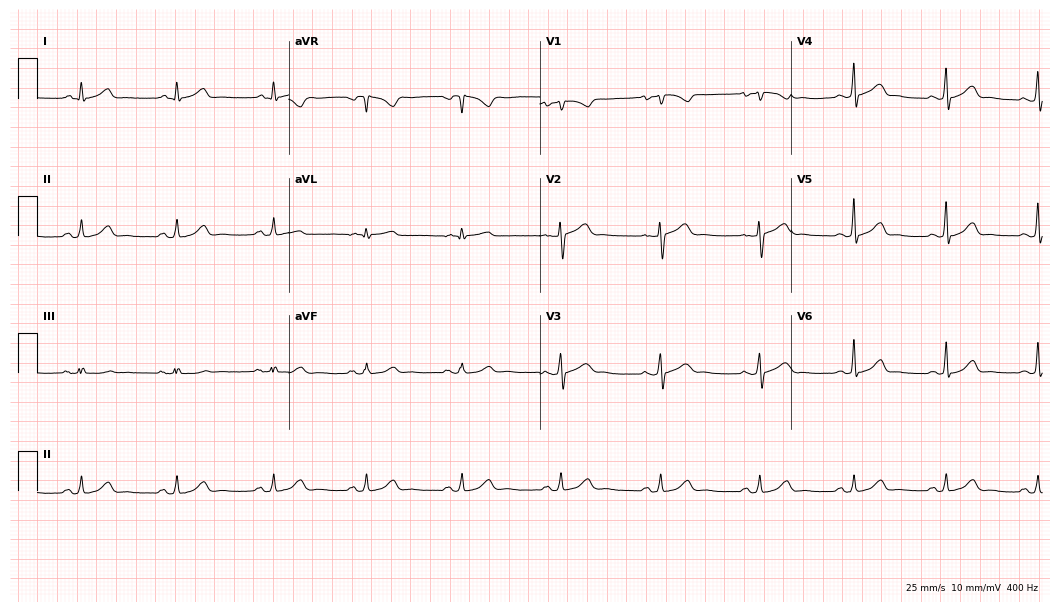
Resting 12-lead electrocardiogram. Patient: a 31-year-old female. Read as a normal ECG.